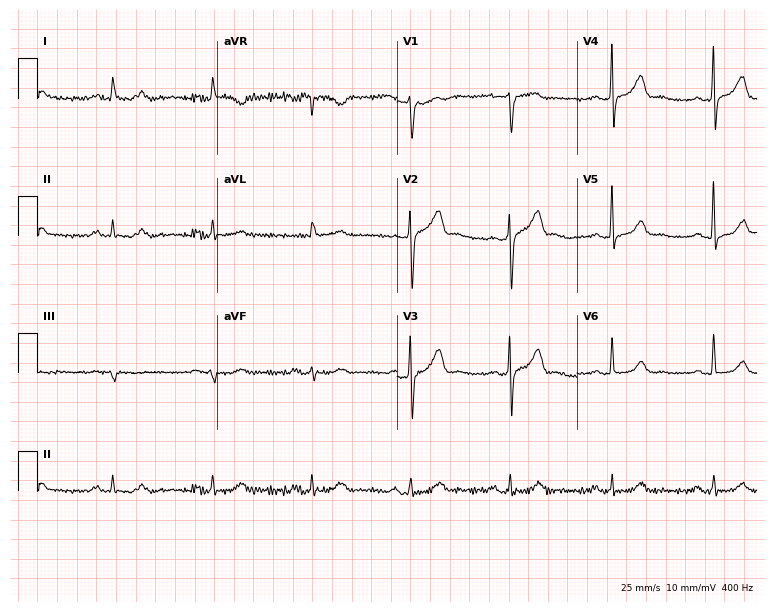
Resting 12-lead electrocardiogram (7.3-second recording at 400 Hz). Patient: a male, 74 years old. Read as a normal ECG.